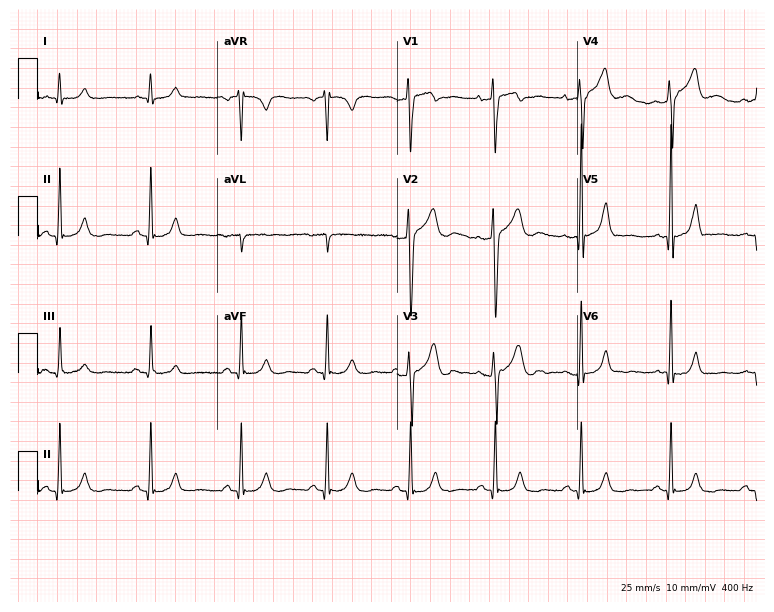
Electrocardiogram, a male, 55 years old. Of the six screened findings (first-degree AV block, right bundle branch block, left bundle branch block, sinus bradycardia, atrial fibrillation, sinus tachycardia), none is recorded.